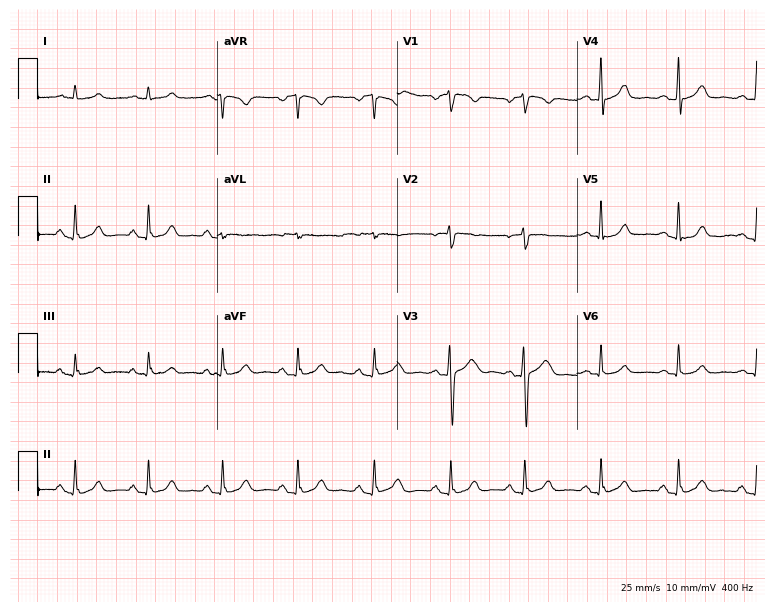
ECG — a 45-year-old female. Labelled as a normal ECG.